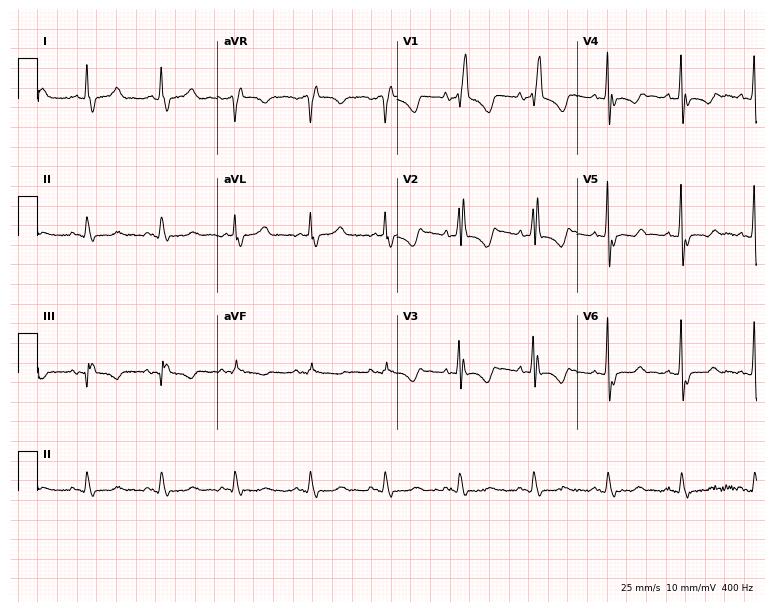
Electrocardiogram, a 72-year-old female patient. Interpretation includes right bundle branch block.